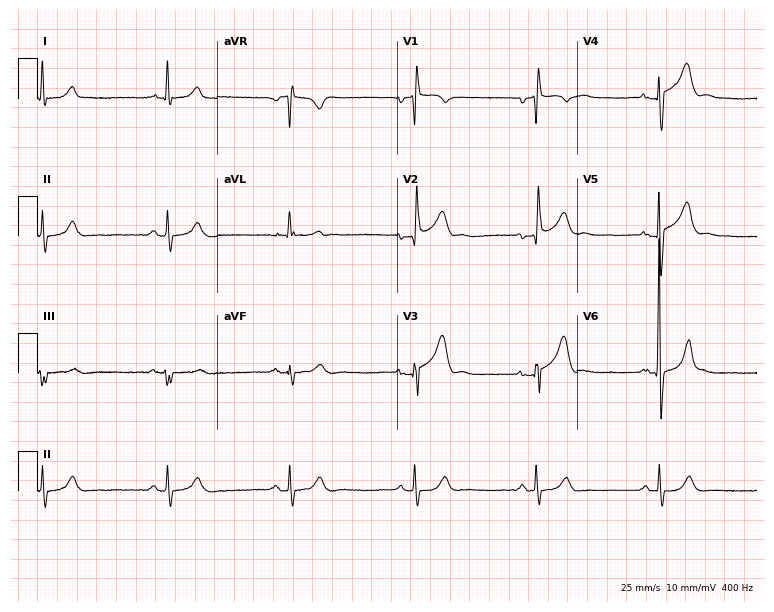
Resting 12-lead electrocardiogram. Patient: a 61-year-old man. None of these six findings is recorded: first-degree AV block, right bundle branch block (RBBB), left bundle branch block (LBBB), sinus bradycardia, atrial fibrillation (AF), sinus tachycardia.